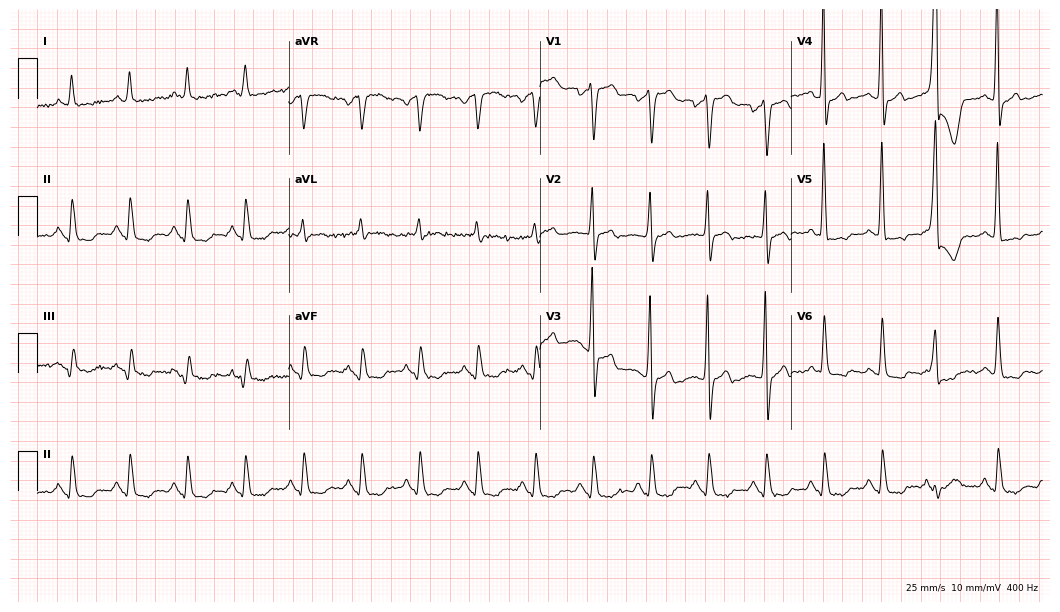
12-lead ECG (10.2-second recording at 400 Hz) from a man, 76 years old. Screened for six findings — first-degree AV block, right bundle branch block, left bundle branch block, sinus bradycardia, atrial fibrillation, sinus tachycardia — none is recorded.